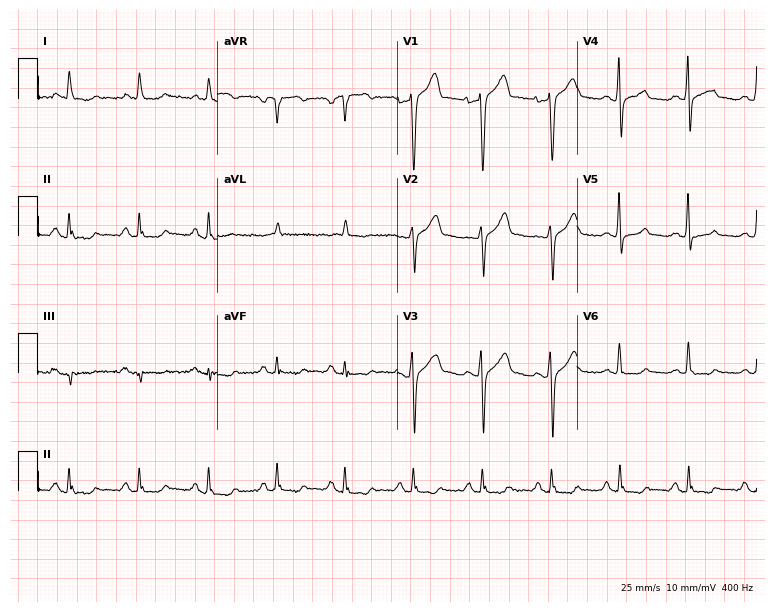
ECG (7.3-second recording at 400 Hz) — a 55-year-old man. Screened for six findings — first-degree AV block, right bundle branch block, left bundle branch block, sinus bradycardia, atrial fibrillation, sinus tachycardia — none is recorded. Other findings, if any, are not listed.